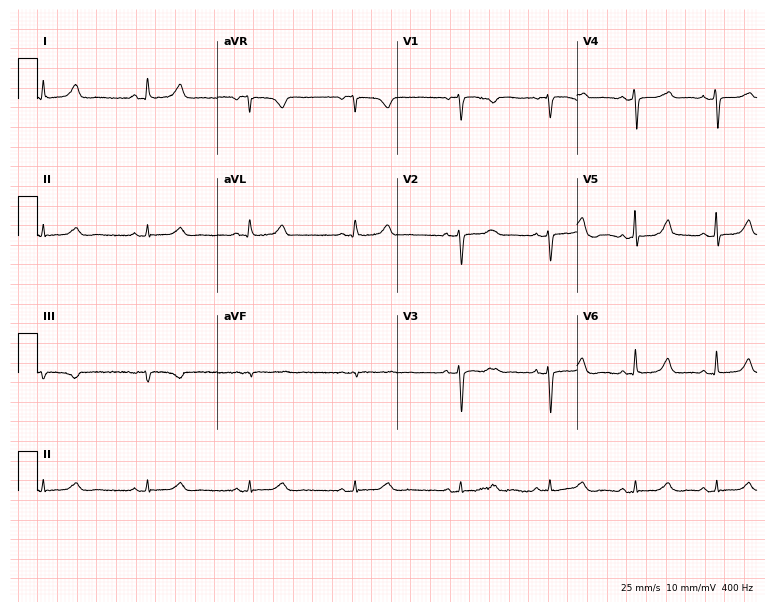
Standard 12-lead ECG recorded from a 46-year-old female patient. Read as a normal ECG.